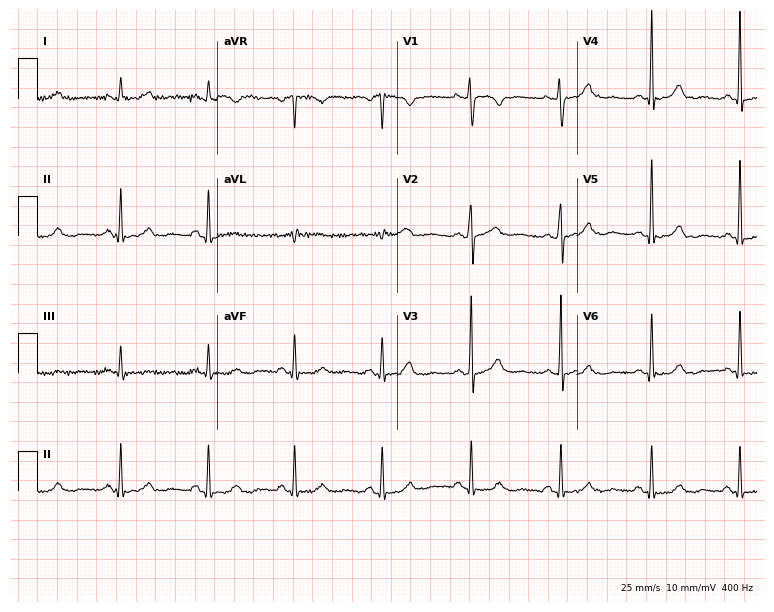
Standard 12-lead ECG recorded from a woman, 56 years old (7.3-second recording at 400 Hz). Read as a normal ECG.